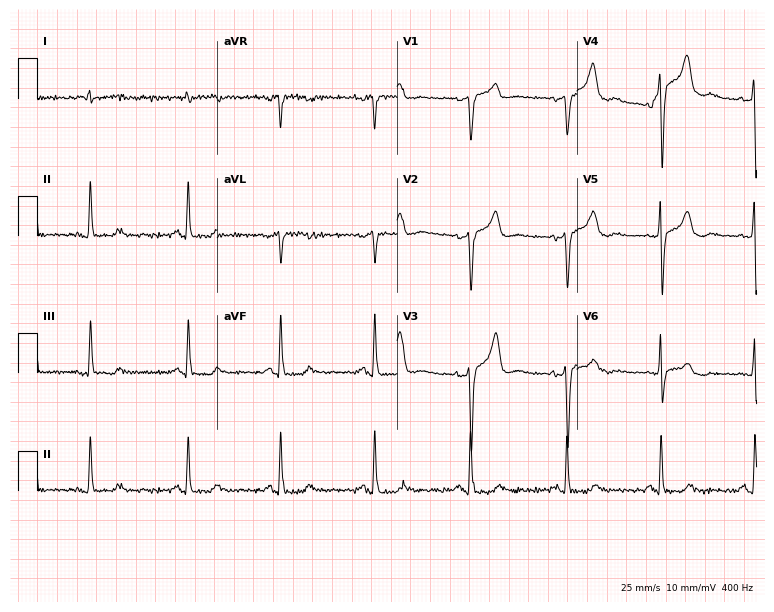
Electrocardiogram, a man, 78 years old. Of the six screened findings (first-degree AV block, right bundle branch block, left bundle branch block, sinus bradycardia, atrial fibrillation, sinus tachycardia), none is recorded.